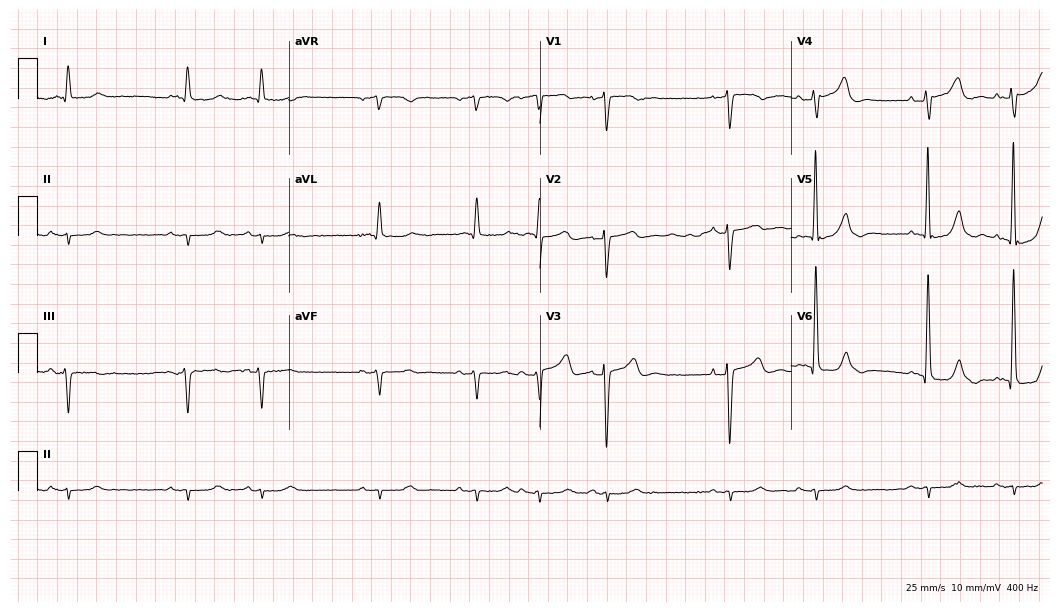
Electrocardiogram, a man, 78 years old. Of the six screened findings (first-degree AV block, right bundle branch block (RBBB), left bundle branch block (LBBB), sinus bradycardia, atrial fibrillation (AF), sinus tachycardia), none is recorded.